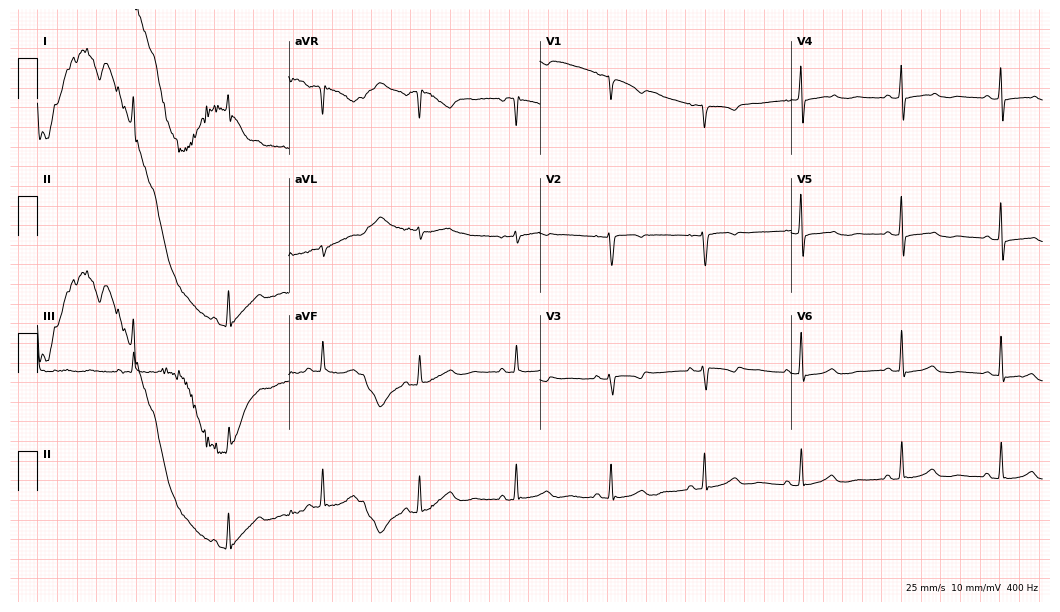
12-lead ECG from a female patient, 64 years old (10.2-second recording at 400 Hz). Recorded interpretation: within normal limits.